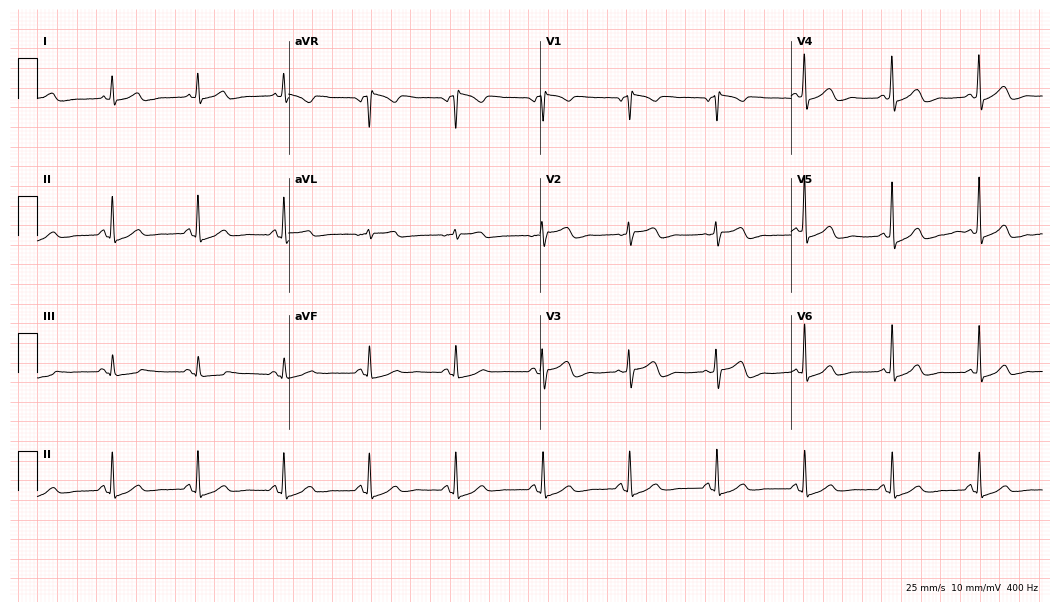
Resting 12-lead electrocardiogram. Patient: a woman, 79 years old. None of these six findings is recorded: first-degree AV block, right bundle branch block, left bundle branch block, sinus bradycardia, atrial fibrillation, sinus tachycardia.